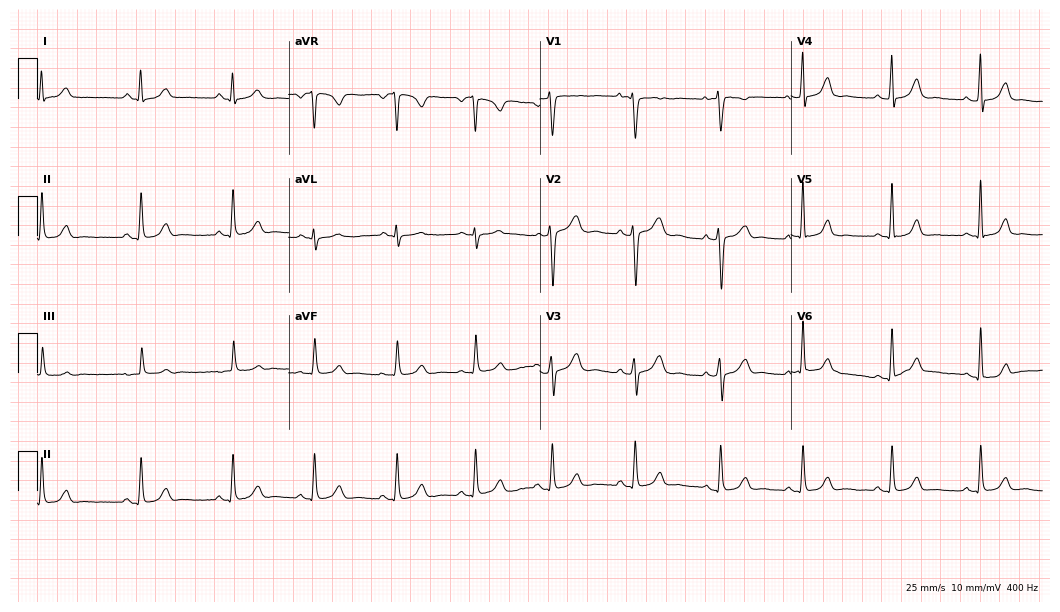
Electrocardiogram, a woman, 25 years old. Overall reading on record: normal ECG.